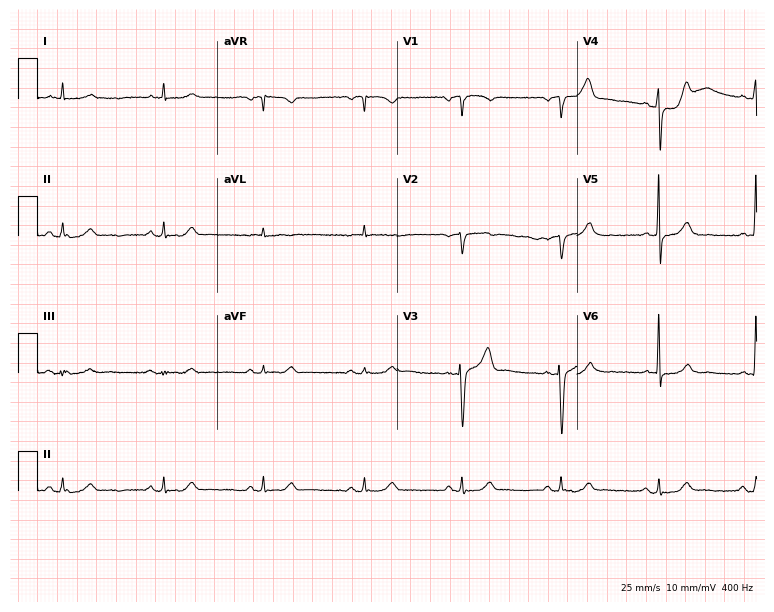
Electrocardiogram (7.3-second recording at 400 Hz), a male, 71 years old. Of the six screened findings (first-degree AV block, right bundle branch block, left bundle branch block, sinus bradycardia, atrial fibrillation, sinus tachycardia), none is recorded. Findings outside these six are not listed.